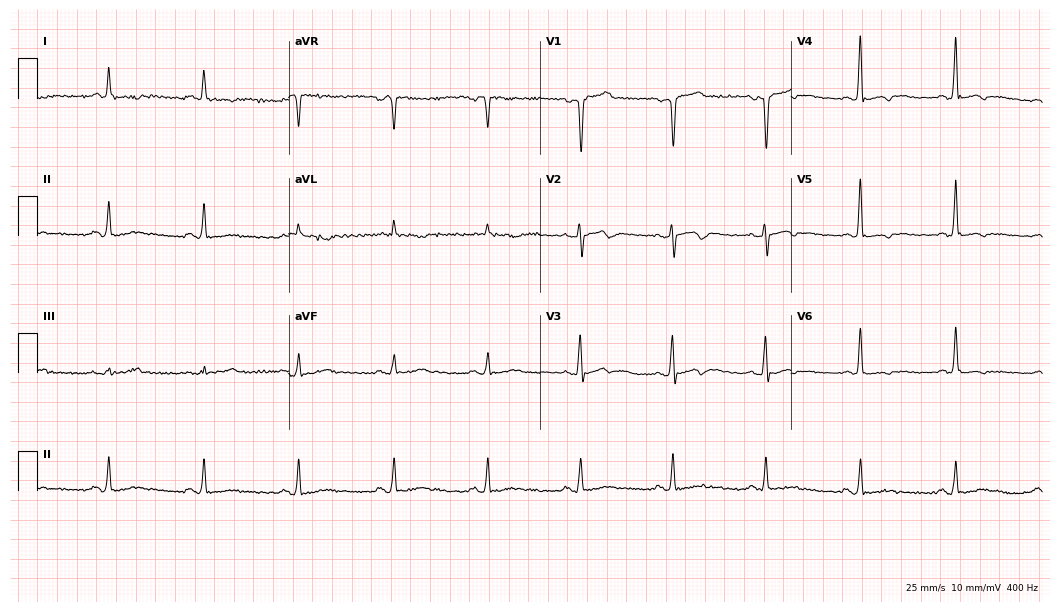
Standard 12-lead ECG recorded from a male, 46 years old. None of these six findings is recorded: first-degree AV block, right bundle branch block (RBBB), left bundle branch block (LBBB), sinus bradycardia, atrial fibrillation (AF), sinus tachycardia. Only these six findings were labelled.